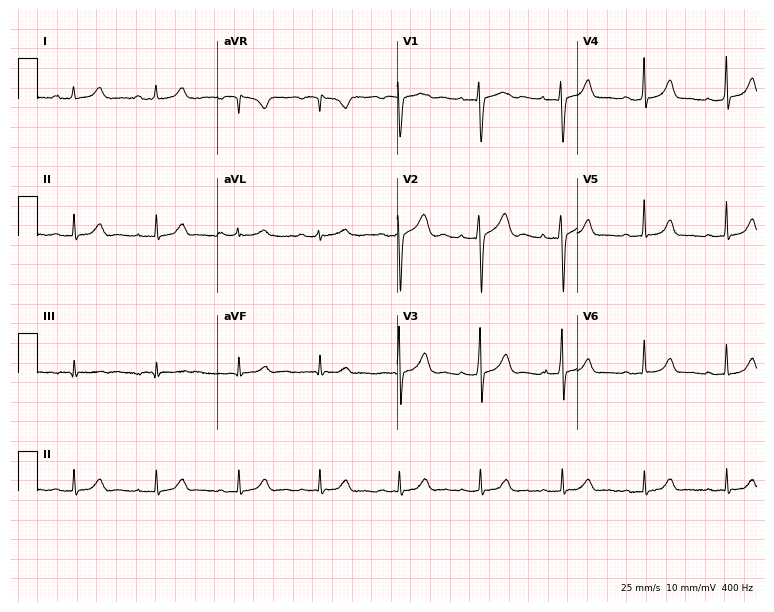
ECG — a female patient, 31 years old. Screened for six findings — first-degree AV block, right bundle branch block, left bundle branch block, sinus bradycardia, atrial fibrillation, sinus tachycardia — none is recorded. Other findings, if any, are not listed.